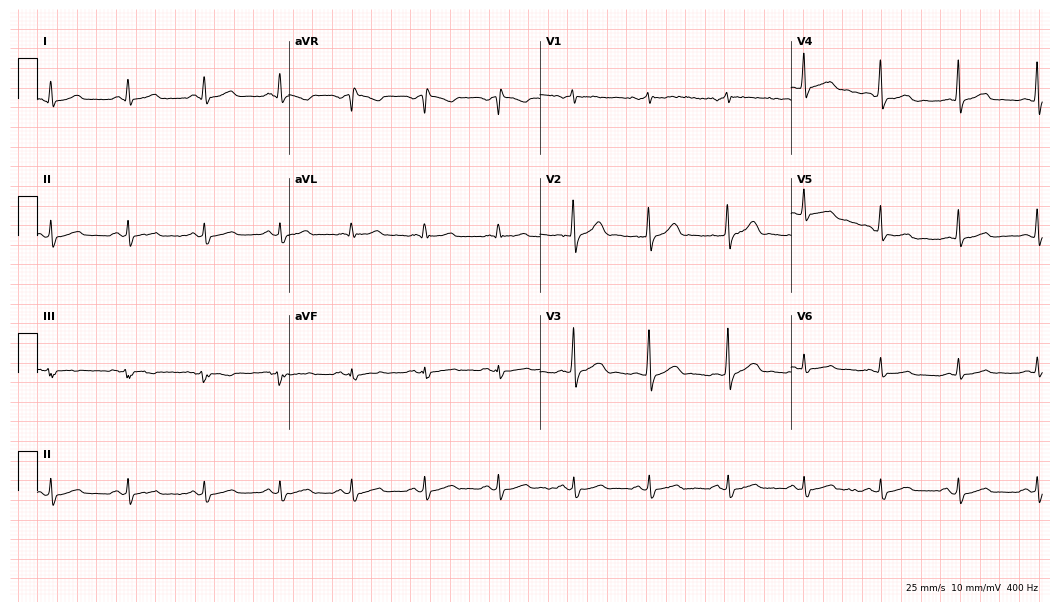
Resting 12-lead electrocardiogram (10.2-second recording at 400 Hz). Patient: a male, 48 years old. Read as a normal ECG.